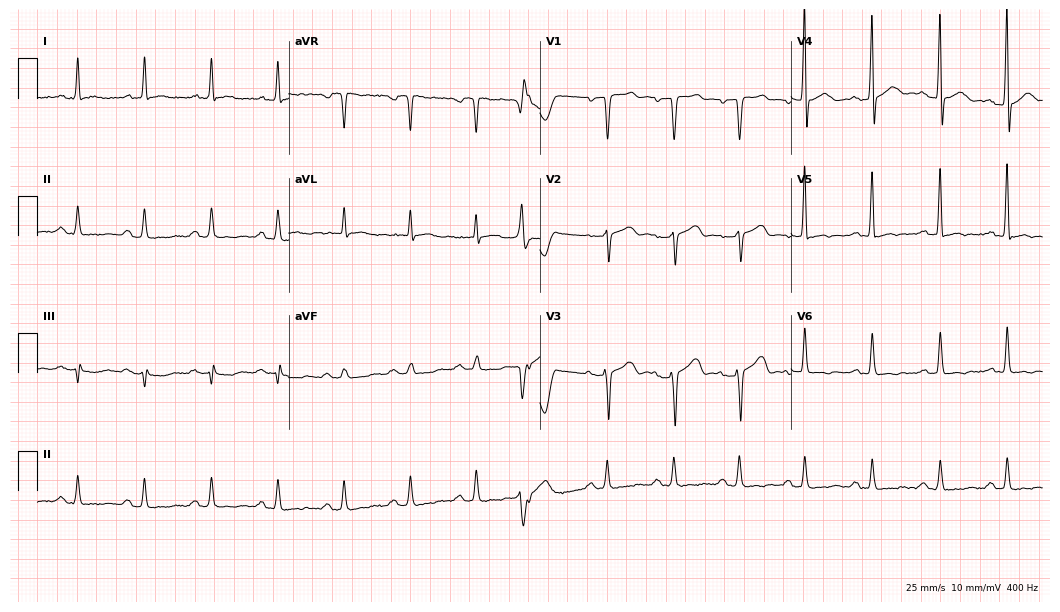
Resting 12-lead electrocardiogram (10.2-second recording at 400 Hz). Patient: a 79-year-old male. None of these six findings is recorded: first-degree AV block, right bundle branch block, left bundle branch block, sinus bradycardia, atrial fibrillation, sinus tachycardia.